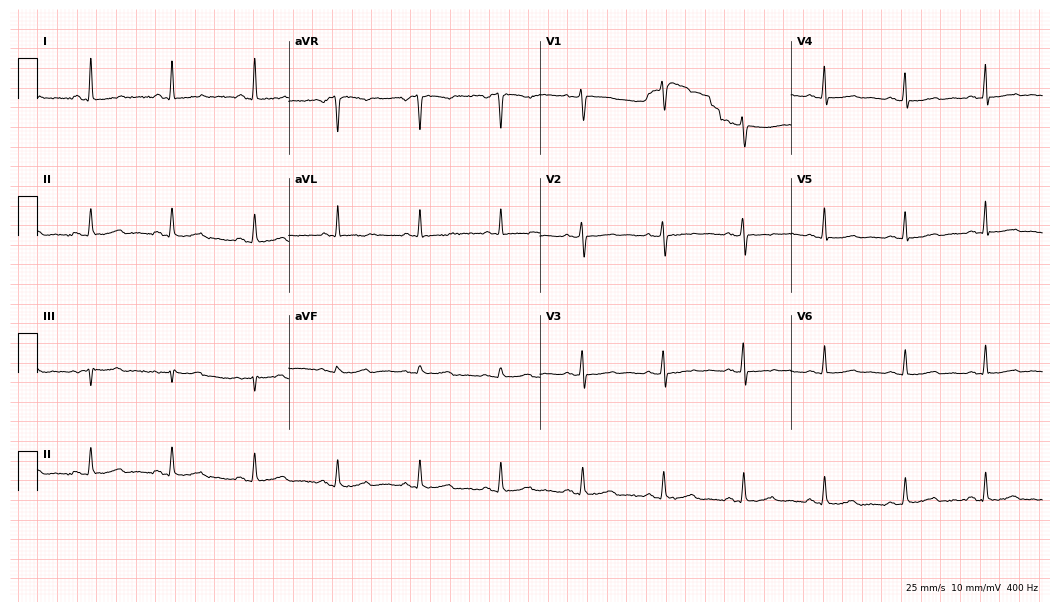
Electrocardiogram, a female, 49 years old. Of the six screened findings (first-degree AV block, right bundle branch block, left bundle branch block, sinus bradycardia, atrial fibrillation, sinus tachycardia), none is recorded.